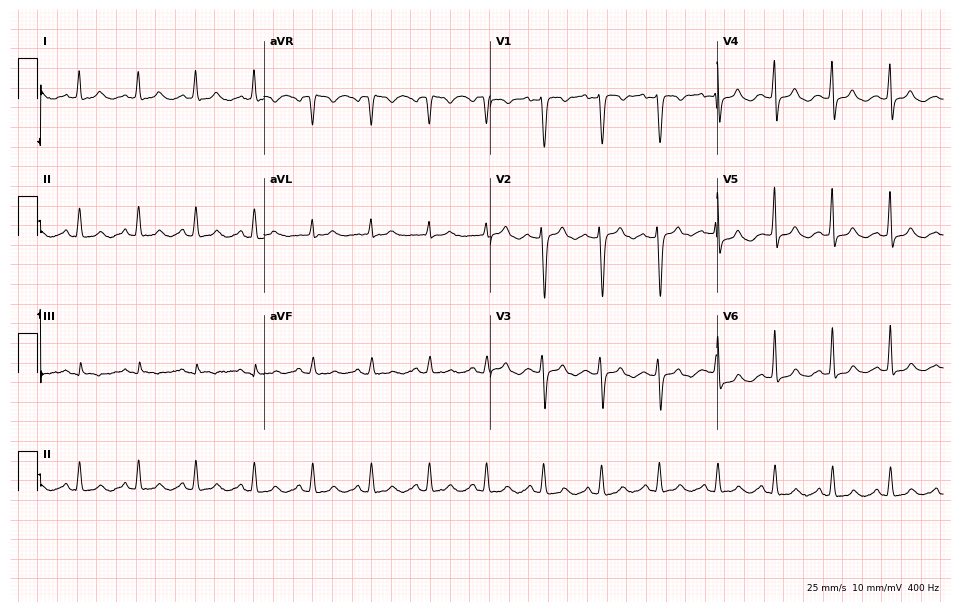
Electrocardiogram, a 48-year-old woman. Interpretation includes sinus tachycardia (a sinus rate of 100 beats per minute or more).